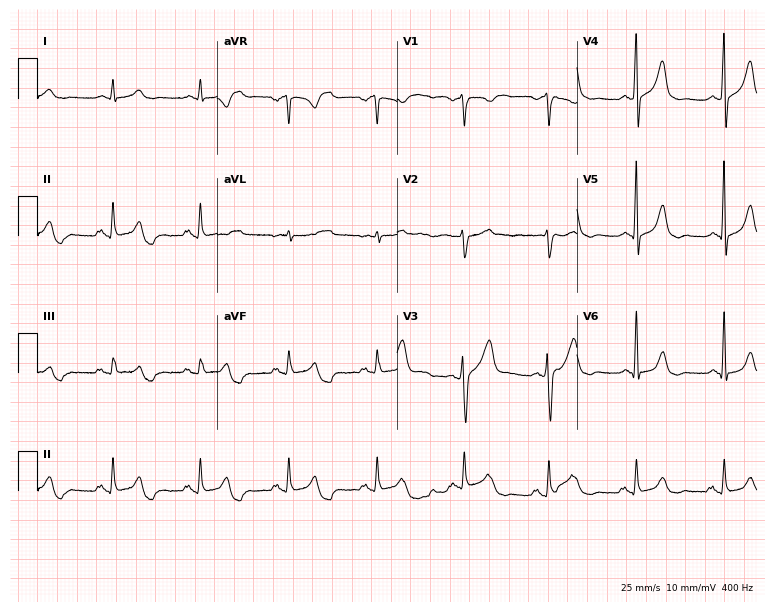
ECG — a 58-year-old man. Labelled as a normal ECG.